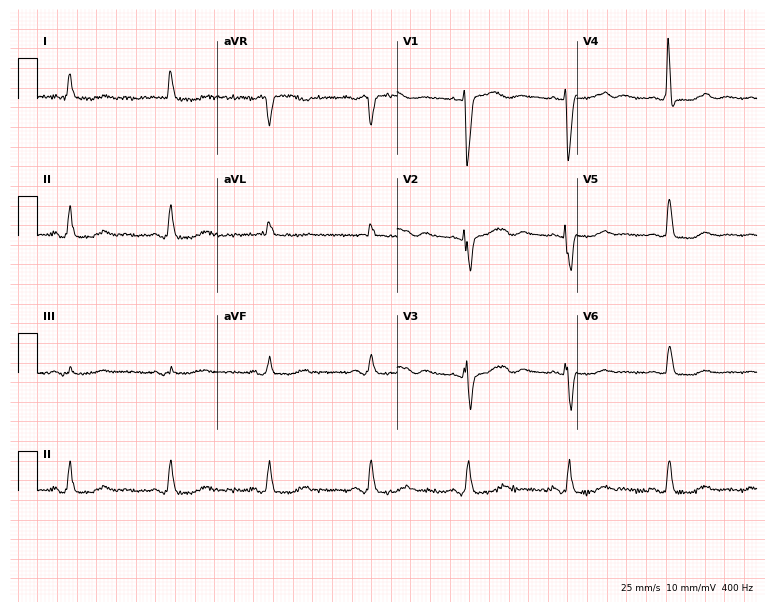
ECG (7.3-second recording at 400 Hz) — a female, 82 years old. Screened for six findings — first-degree AV block, right bundle branch block, left bundle branch block, sinus bradycardia, atrial fibrillation, sinus tachycardia — none is recorded. Only these six findings were labelled.